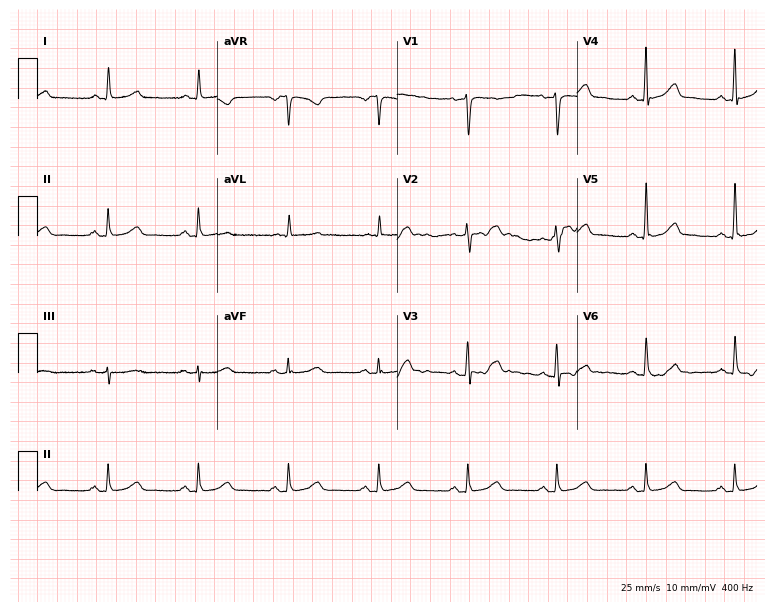
ECG (7.3-second recording at 400 Hz) — a male, 57 years old. Screened for six findings — first-degree AV block, right bundle branch block (RBBB), left bundle branch block (LBBB), sinus bradycardia, atrial fibrillation (AF), sinus tachycardia — none is recorded. Other findings, if any, are not listed.